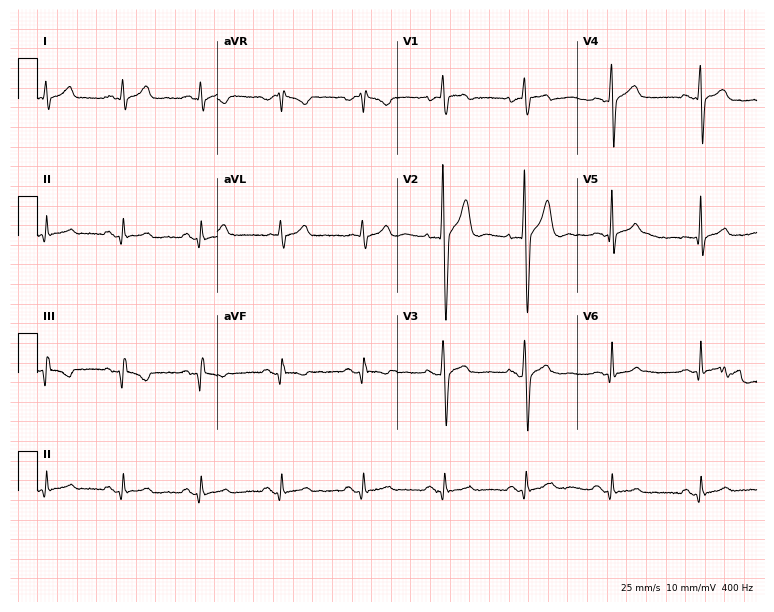
Standard 12-lead ECG recorded from a 37-year-old male patient (7.3-second recording at 400 Hz). Read as a normal ECG.